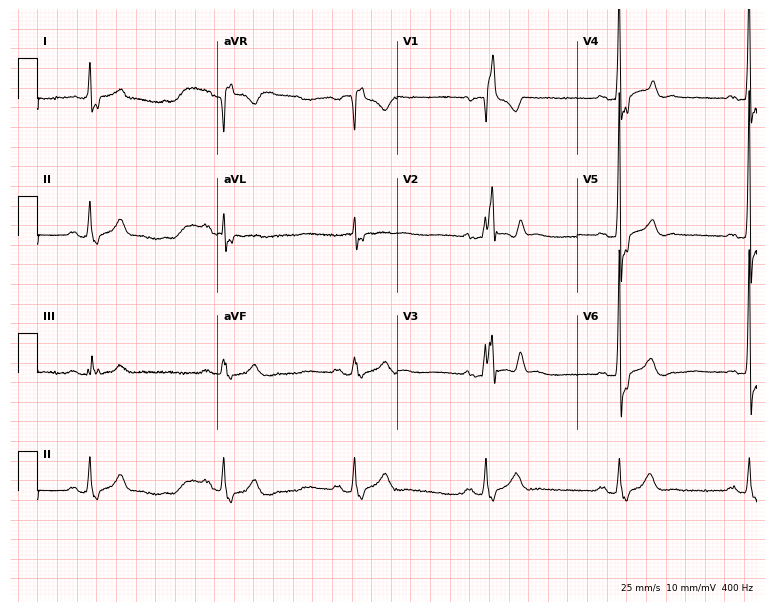
Standard 12-lead ECG recorded from a 60-year-old male (7.3-second recording at 400 Hz). The tracing shows right bundle branch block, sinus bradycardia (a sinus rate of 50 beats per minute or less).